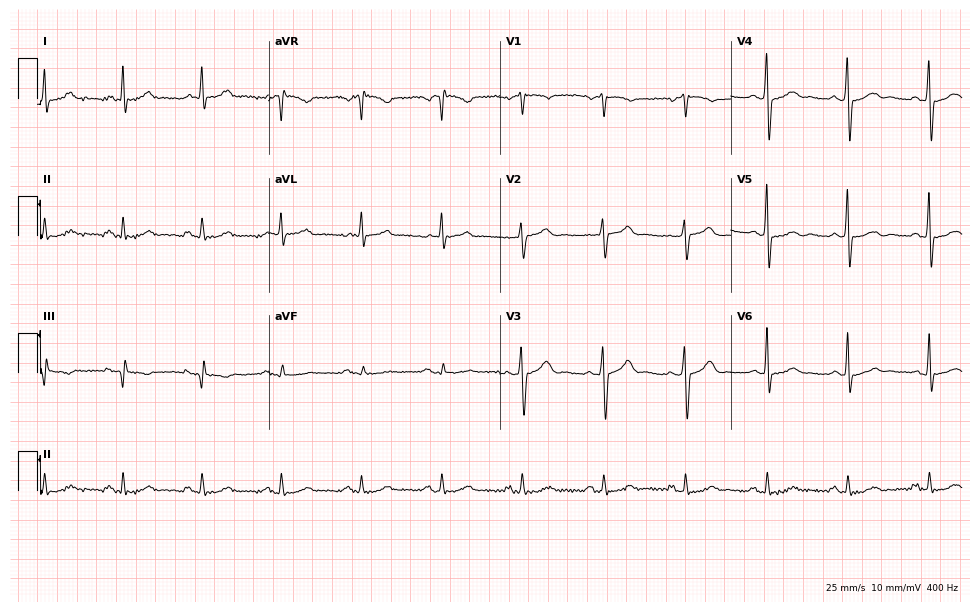
Resting 12-lead electrocardiogram (9.4-second recording at 400 Hz). Patient: a man, 58 years old. None of these six findings is recorded: first-degree AV block, right bundle branch block, left bundle branch block, sinus bradycardia, atrial fibrillation, sinus tachycardia.